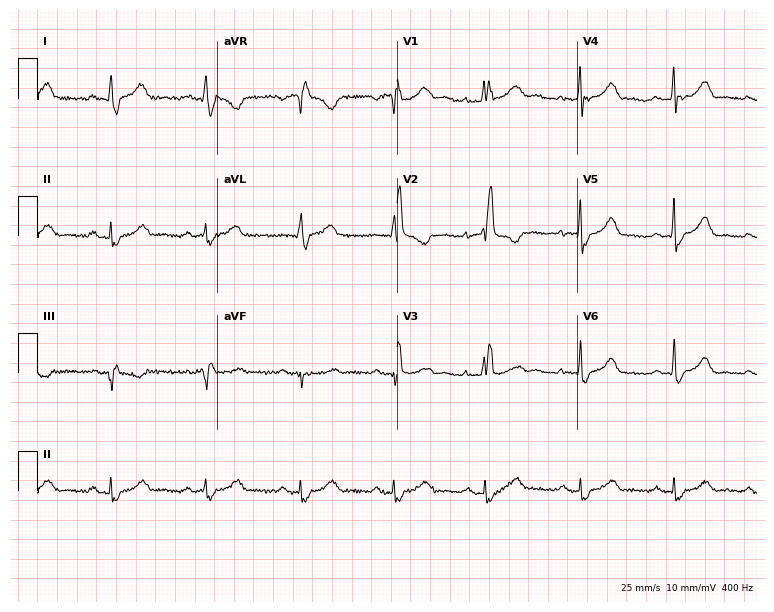
Resting 12-lead electrocardiogram (7.3-second recording at 400 Hz). Patient: a female, 69 years old. The tracing shows right bundle branch block (RBBB).